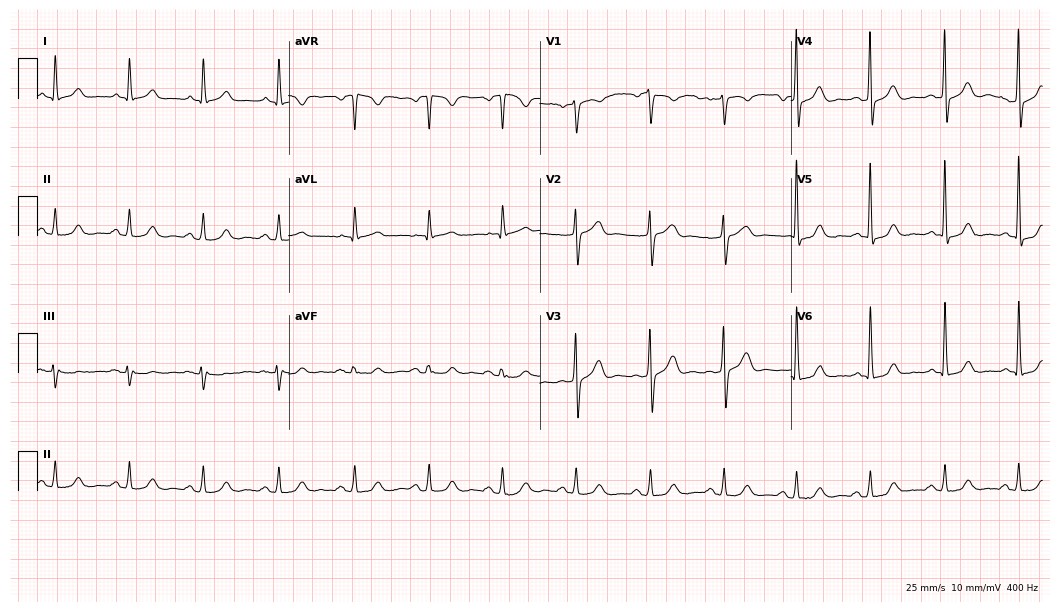
Resting 12-lead electrocardiogram (10.2-second recording at 400 Hz). Patient: a 59-year-old male. Read as a normal ECG.